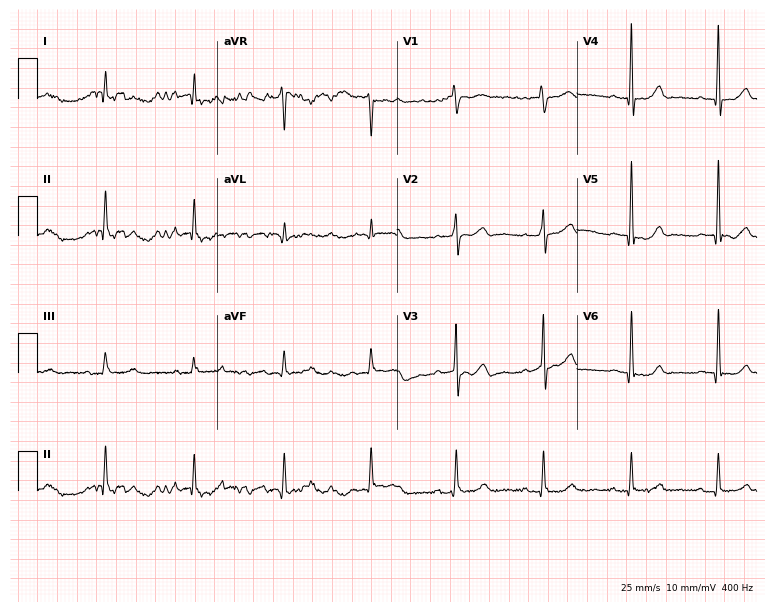
ECG — a 61-year-old woman. Screened for six findings — first-degree AV block, right bundle branch block, left bundle branch block, sinus bradycardia, atrial fibrillation, sinus tachycardia — none is recorded.